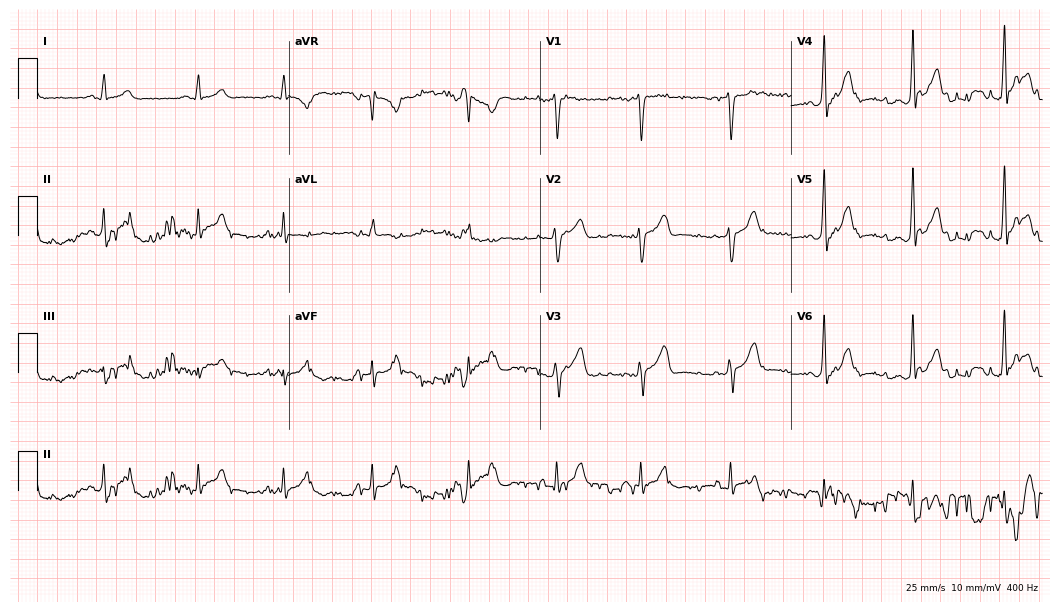
12-lead ECG (10.2-second recording at 400 Hz) from a male, 38 years old. Screened for six findings — first-degree AV block, right bundle branch block, left bundle branch block, sinus bradycardia, atrial fibrillation, sinus tachycardia — none is recorded.